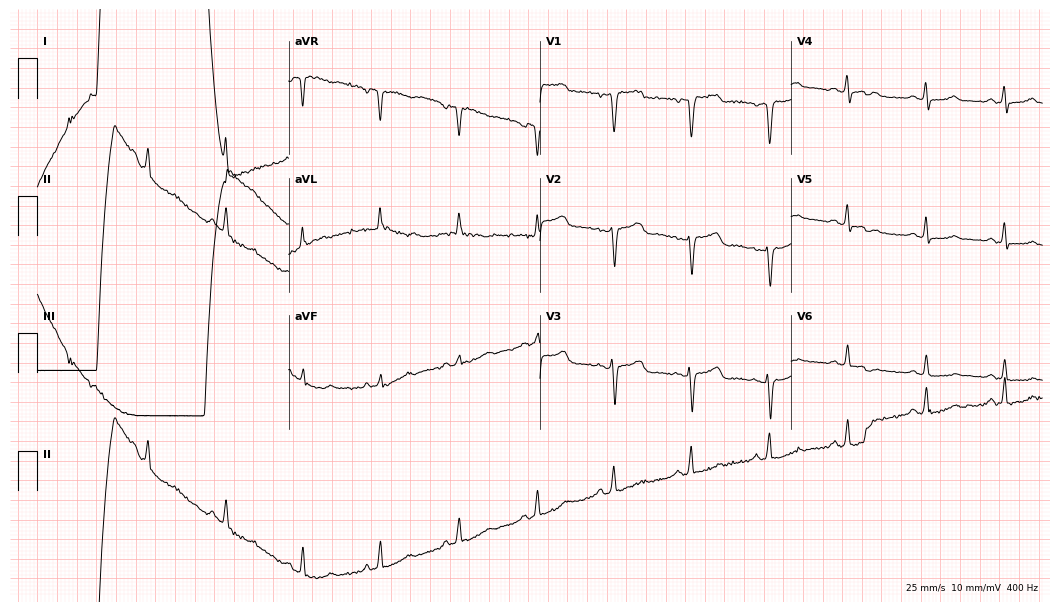
Resting 12-lead electrocardiogram. Patient: a 60-year-old female. None of these six findings is recorded: first-degree AV block, right bundle branch block, left bundle branch block, sinus bradycardia, atrial fibrillation, sinus tachycardia.